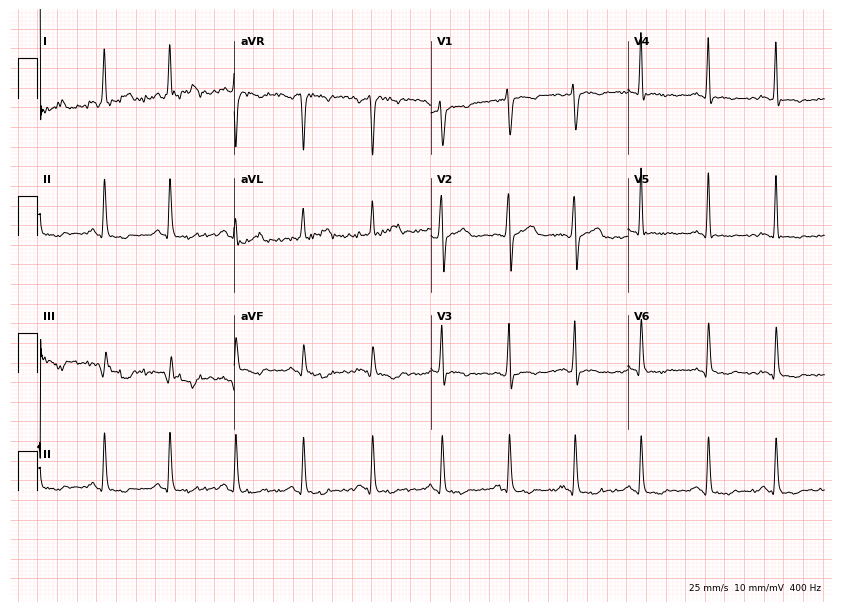
Electrocardiogram (8-second recording at 400 Hz), a 35-year-old female patient. Of the six screened findings (first-degree AV block, right bundle branch block, left bundle branch block, sinus bradycardia, atrial fibrillation, sinus tachycardia), none is recorded. Findings outside these six are not listed.